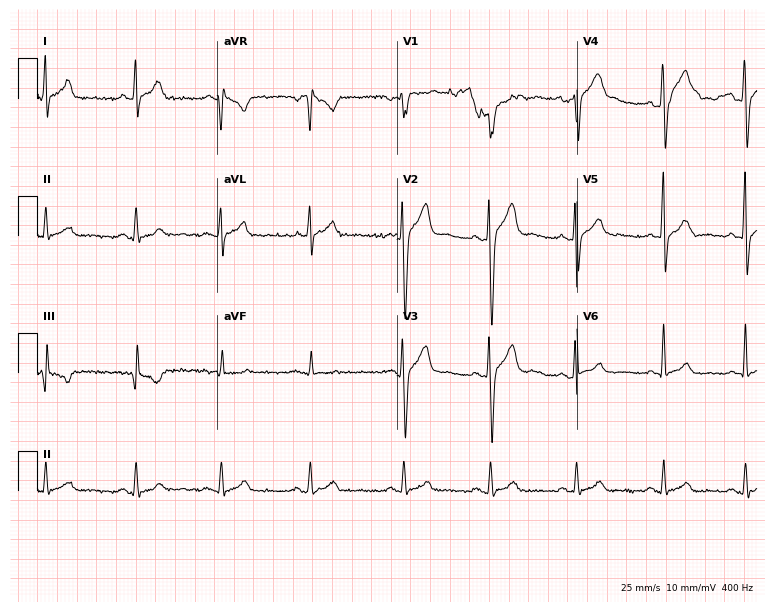
ECG — a man, 34 years old. Screened for six findings — first-degree AV block, right bundle branch block (RBBB), left bundle branch block (LBBB), sinus bradycardia, atrial fibrillation (AF), sinus tachycardia — none is recorded.